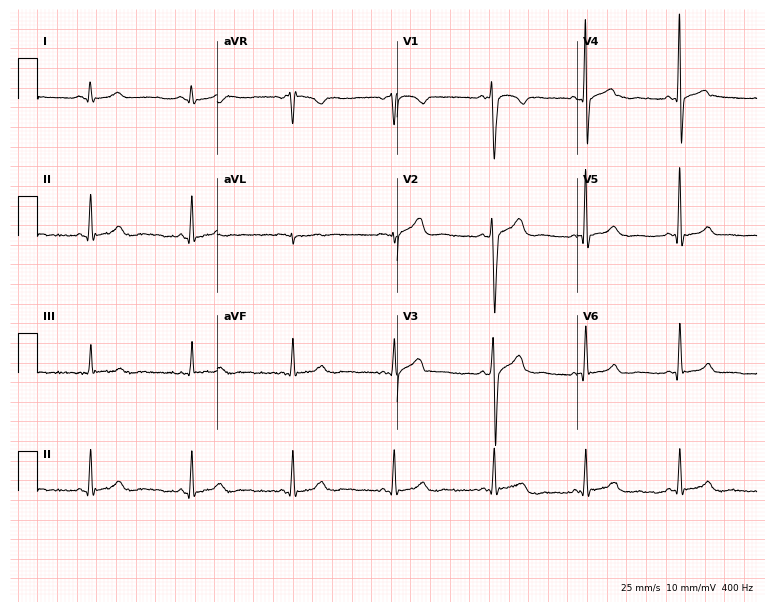
Electrocardiogram, a man, 26 years old. Overall reading on record: normal ECG.